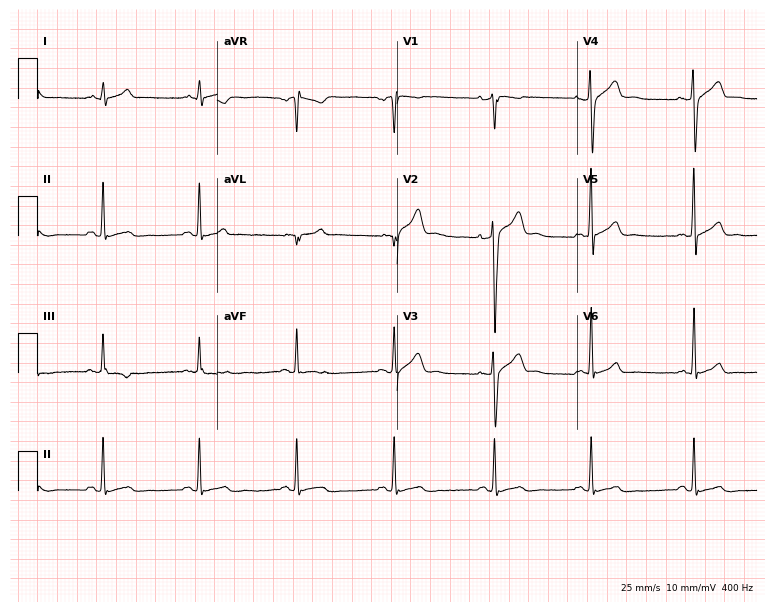
12-lead ECG (7.3-second recording at 400 Hz) from a 33-year-old male. Labelled as a normal ECG.